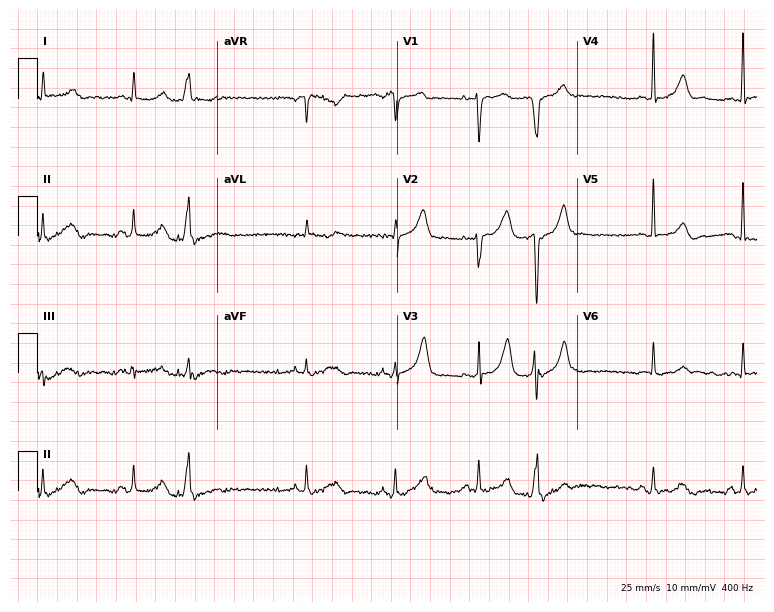
12-lead ECG (7.3-second recording at 400 Hz) from a female, 78 years old. Screened for six findings — first-degree AV block, right bundle branch block, left bundle branch block, sinus bradycardia, atrial fibrillation, sinus tachycardia — none is recorded.